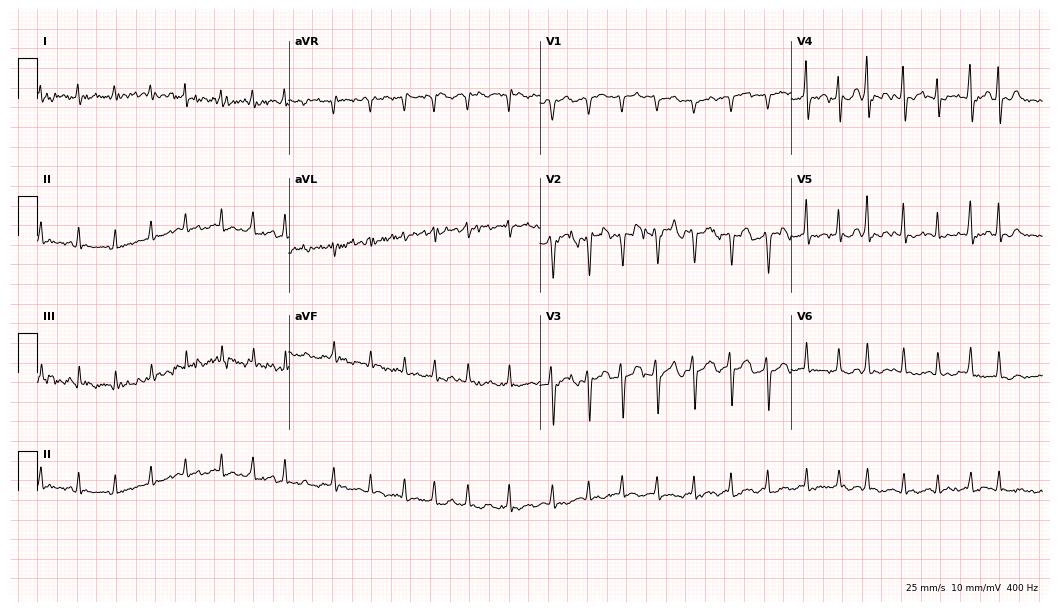
Electrocardiogram, a 54-year-old woman. Interpretation includes atrial fibrillation.